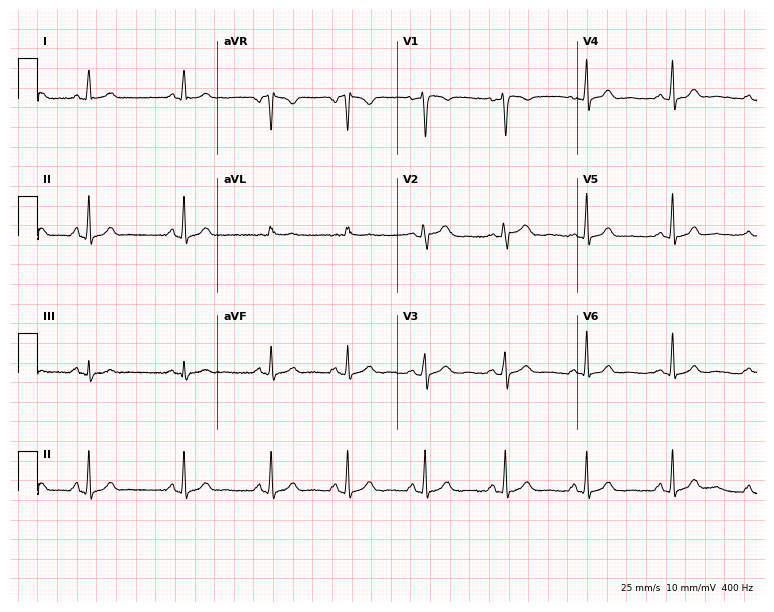
12-lead ECG from a female, 28 years old (7.3-second recording at 400 Hz). No first-degree AV block, right bundle branch block, left bundle branch block, sinus bradycardia, atrial fibrillation or sinus tachycardia recorded for this tracing. Other findings, if any, are not listed.